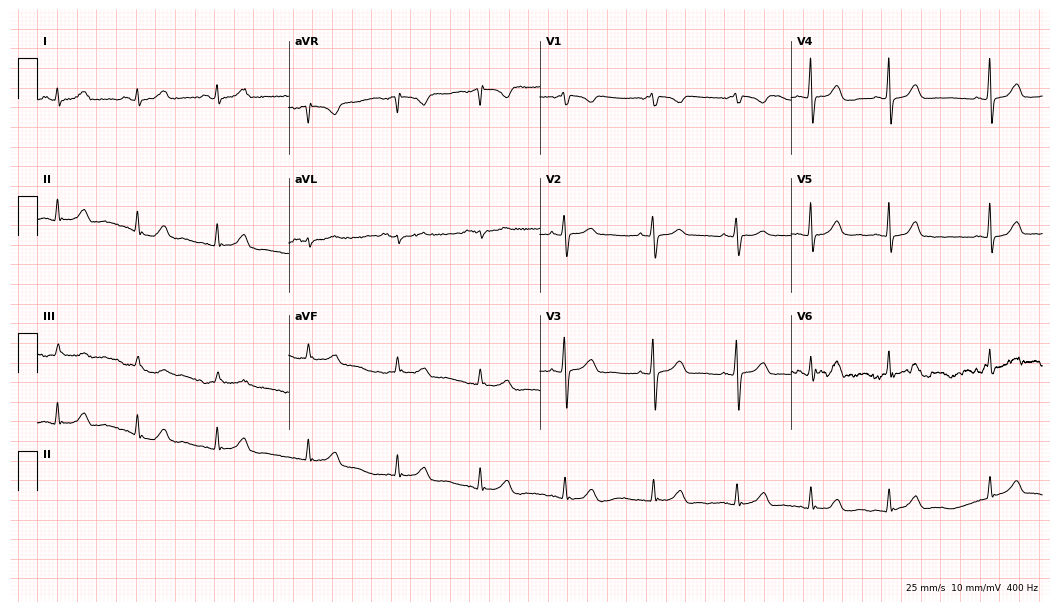
Electrocardiogram, a 29-year-old woman. Overall reading on record: normal ECG.